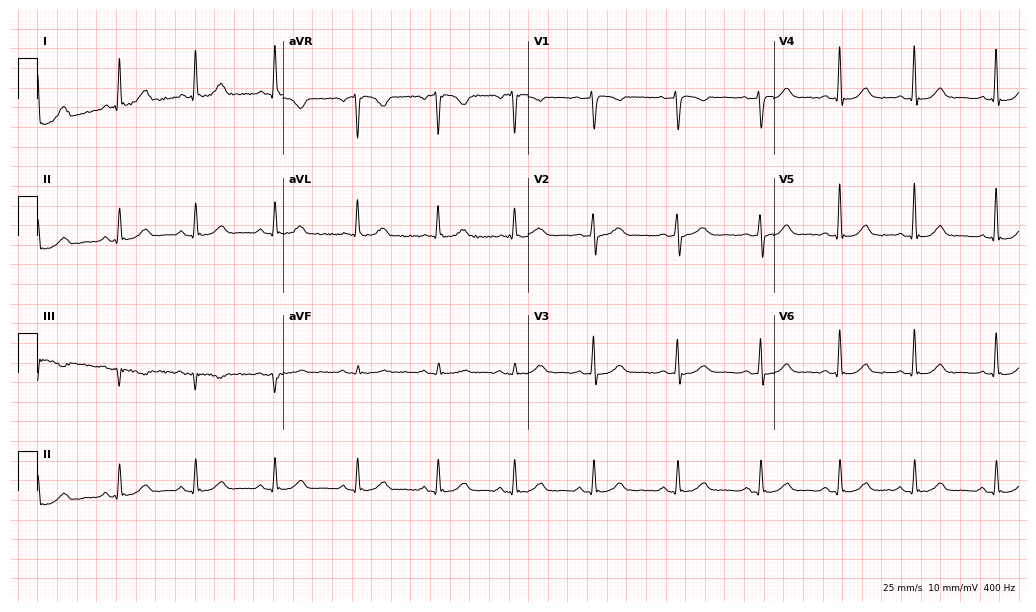
ECG — a woman, 61 years old. Screened for six findings — first-degree AV block, right bundle branch block, left bundle branch block, sinus bradycardia, atrial fibrillation, sinus tachycardia — none is recorded.